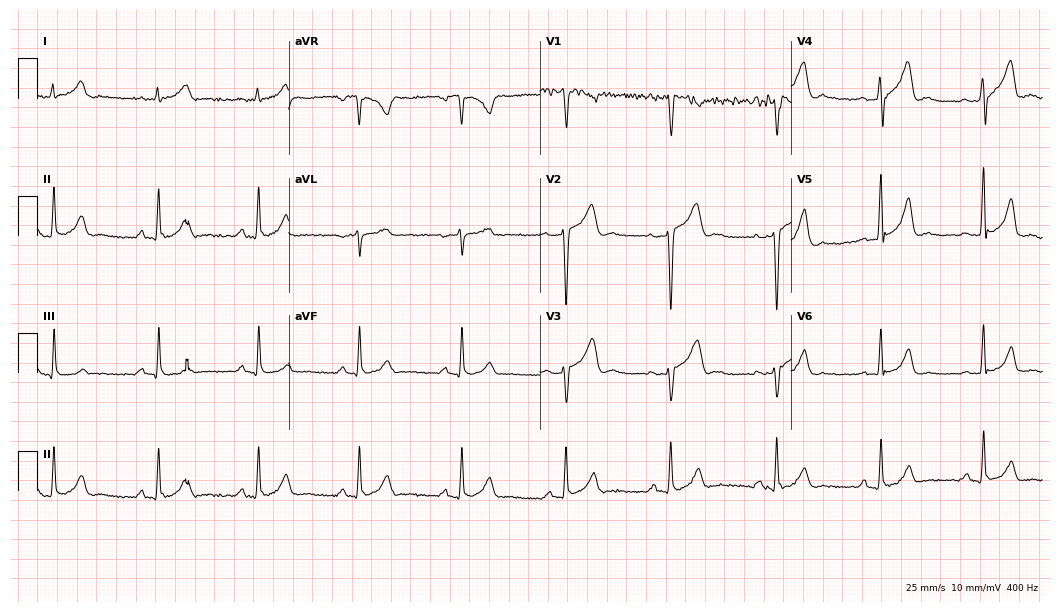
Resting 12-lead electrocardiogram. Patient: a 30-year-old male. Read as a normal ECG.